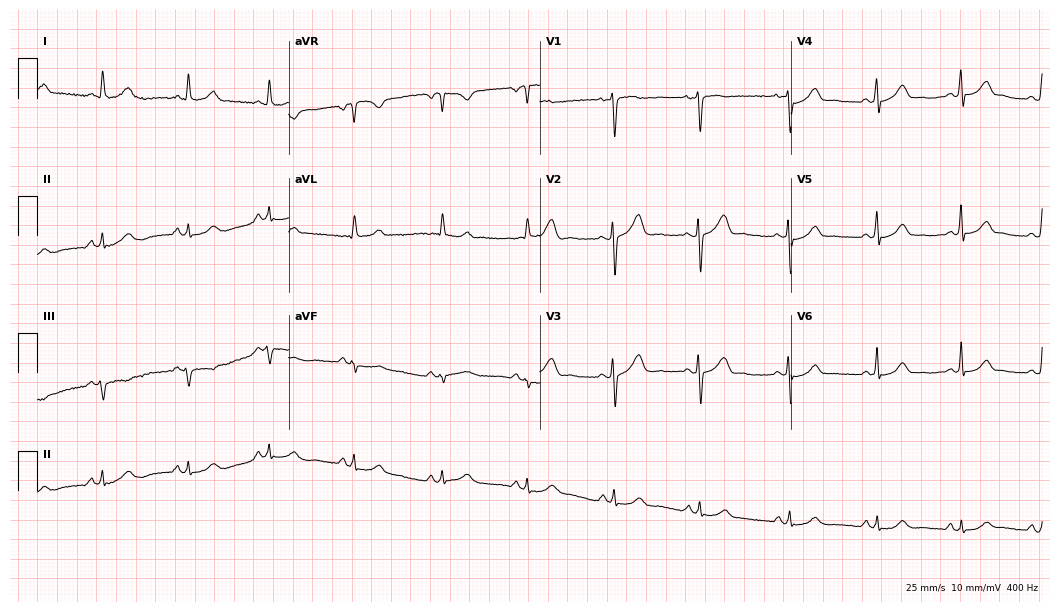
ECG — a female, 37 years old. Labelled as a normal ECG.